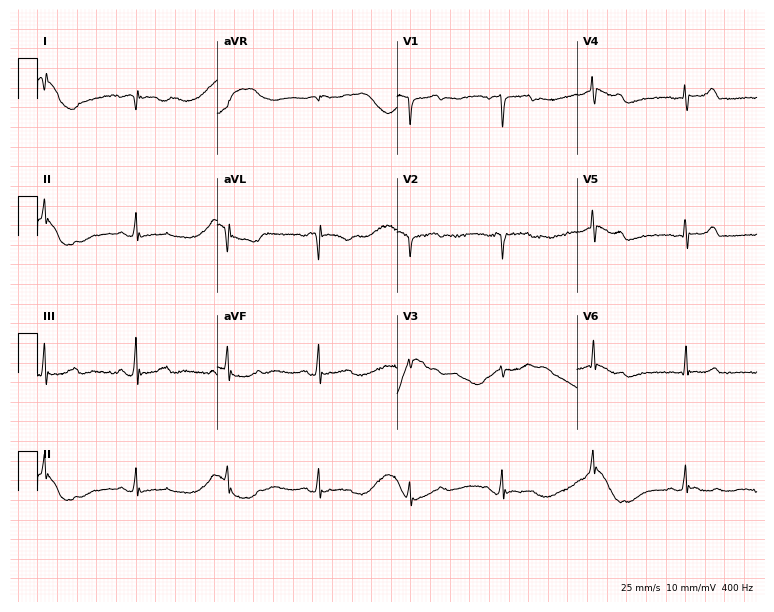
12-lead ECG from an 86-year-old male patient. Screened for six findings — first-degree AV block, right bundle branch block, left bundle branch block, sinus bradycardia, atrial fibrillation, sinus tachycardia — none is recorded. Other findings, if any, are not listed.